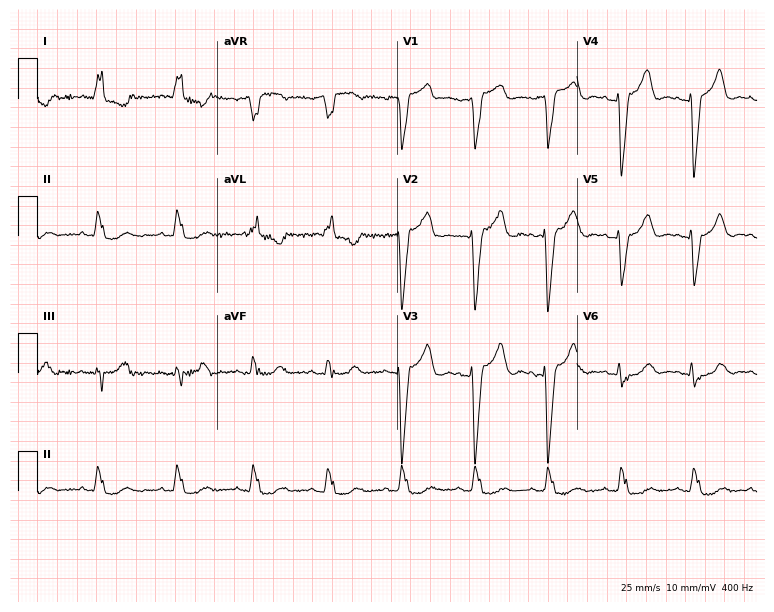
ECG (7.3-second recording at 400 Hz) — a female patient, 80 years old. Findings include left bundle branch block.